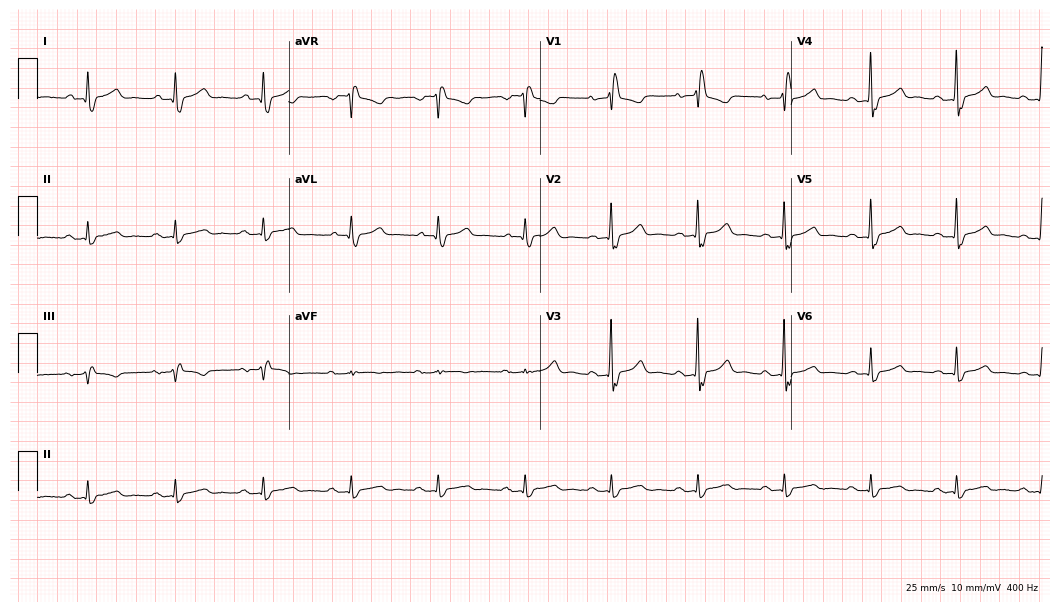
12-lead ECG from a 71-year-old female (10.2-second recording at 400 Hz). Shows right bundle branch block (RBBB).